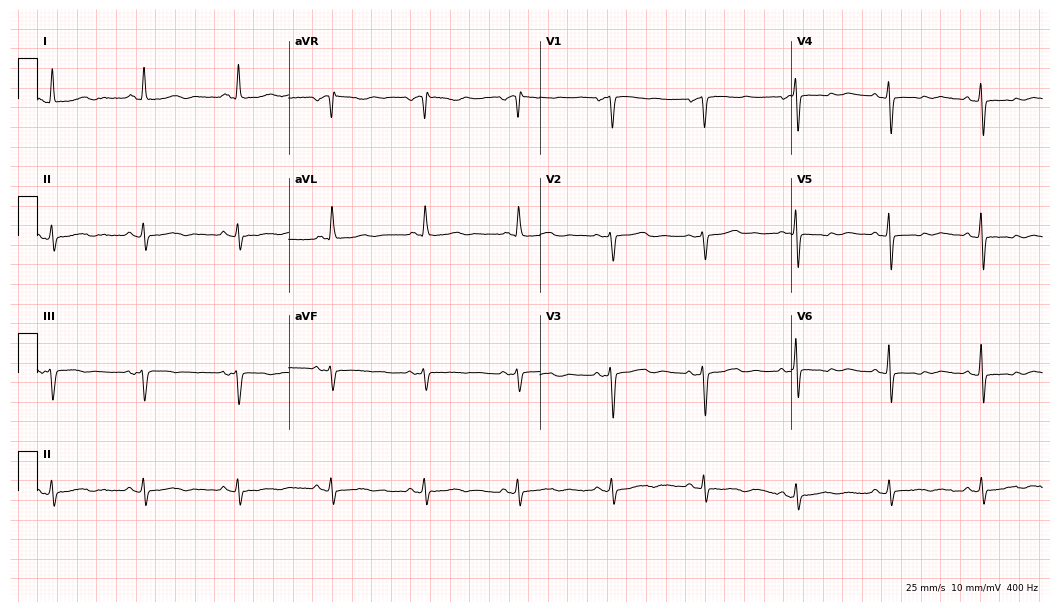
12-lead ECG from a 78-year-old woman. No first-degree AV block, right bundle branch block, left bundle branch block, sinus bradycardia, atrial fibrillation or sinus tachycardia recorded for this tracing. Other findings, if any, are not listed.